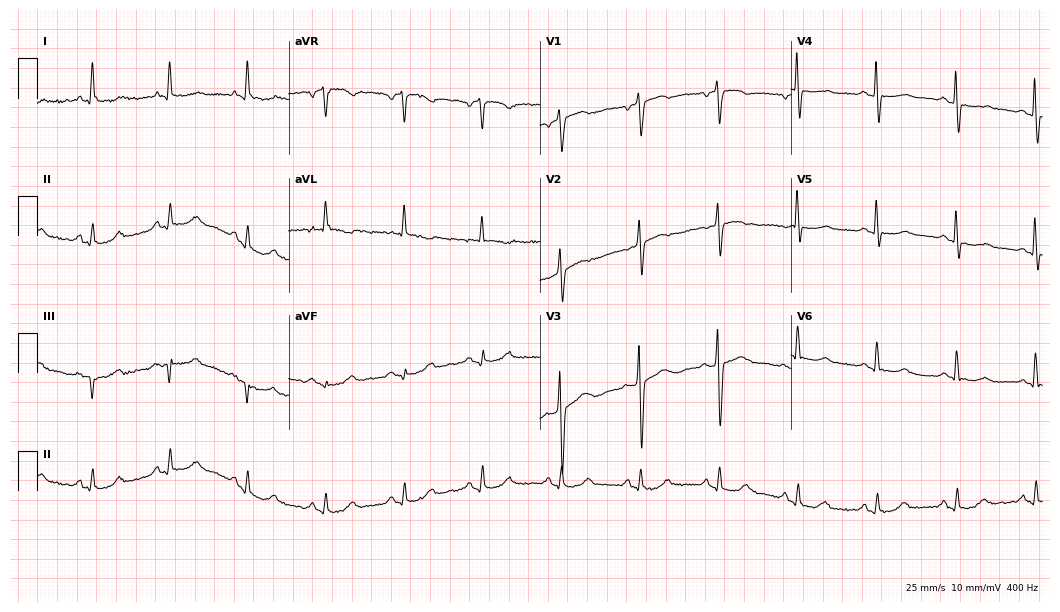
12-lead ECG from a 70-year-old woman. Labelled as a normal ECG.